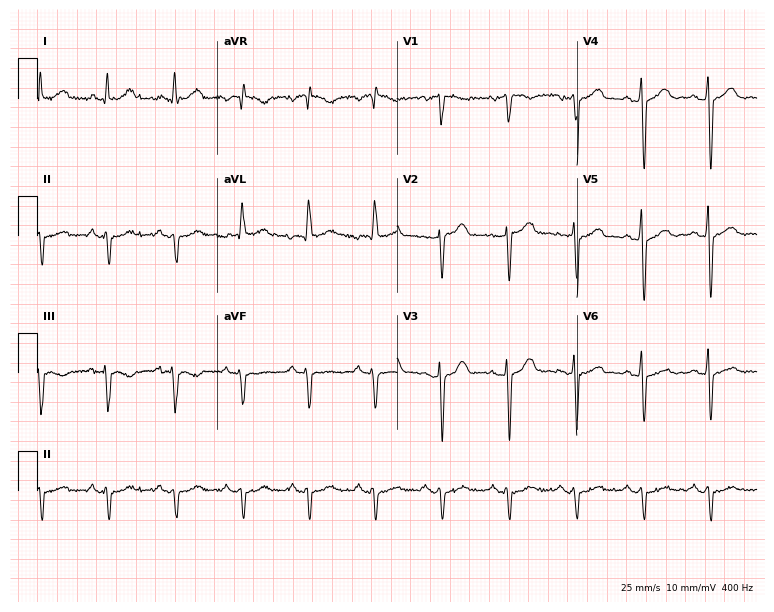
12-lead ECG from a 58-year-old male patient. Screened for six findings — first-degree AV block, right bundle branch block, left bundle branch block, sinus bradycardia, atrial fibrillation, sinus tachycardia — none is recorded. Only these six findings were labelled.